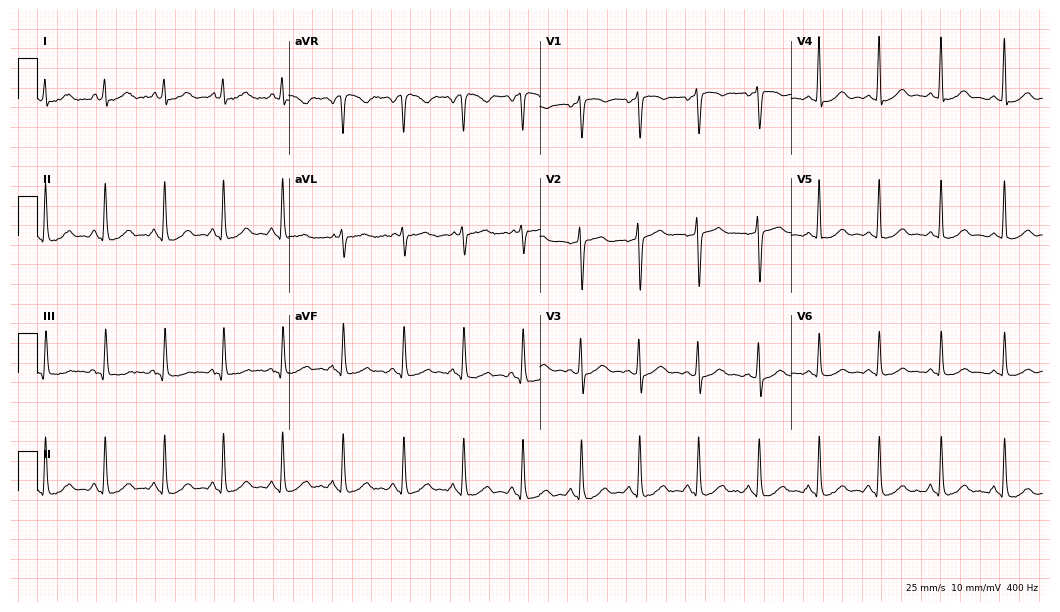
ECG — a woman, 52 years old. Screened for six findings — first-degree AV block, right bundle branch block, left bundle branch block, sinus bradycardia, atrial fibrillation, sinus tachycardia — none is recorded.